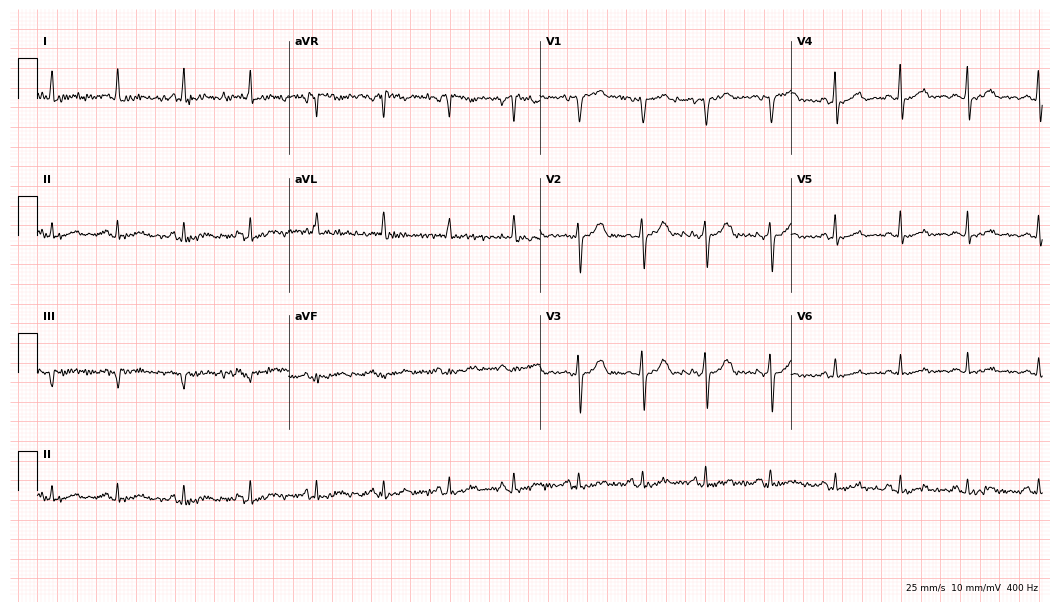
12-lead ECG from a 55-year-old female. Recorded interpretation: within normal limits.